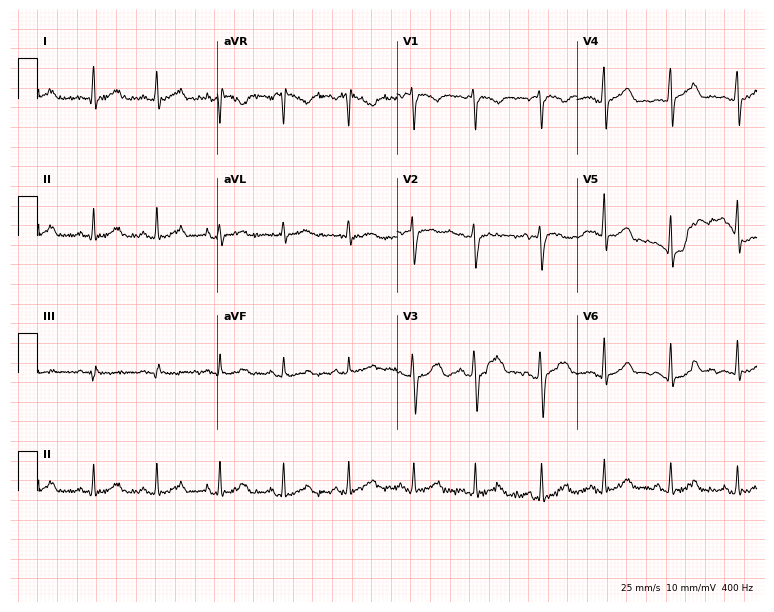
Resting 12-lead electrocardiogram. Patient: a 37-year-old man. Read as a normal ECG.